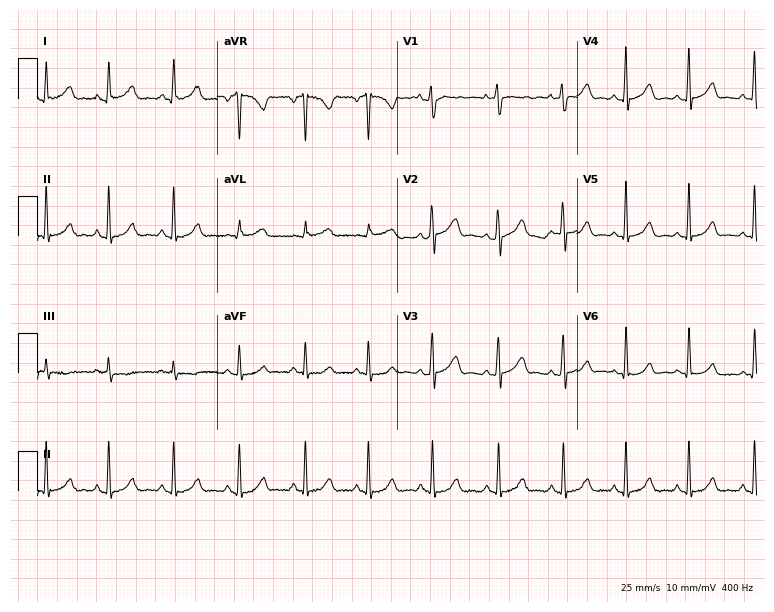
Standard 12-lead ECG recorded from a woman, 32 years old (7.3-second recording at 400 Hz). None of these six findings is recorded: first-degree AV block, right bundle branch block, left bundle branch block, sinus bradycardia, atrial fibrillation, sinus tachycardia.